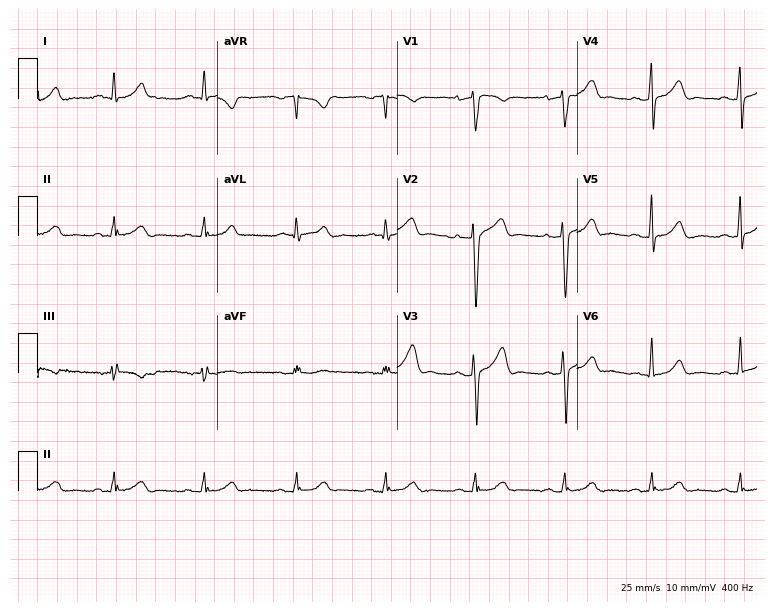
ECG (7.3-second recording at 400 Hz) — a 37-year-old male patient. Labelled as a normal ECG.